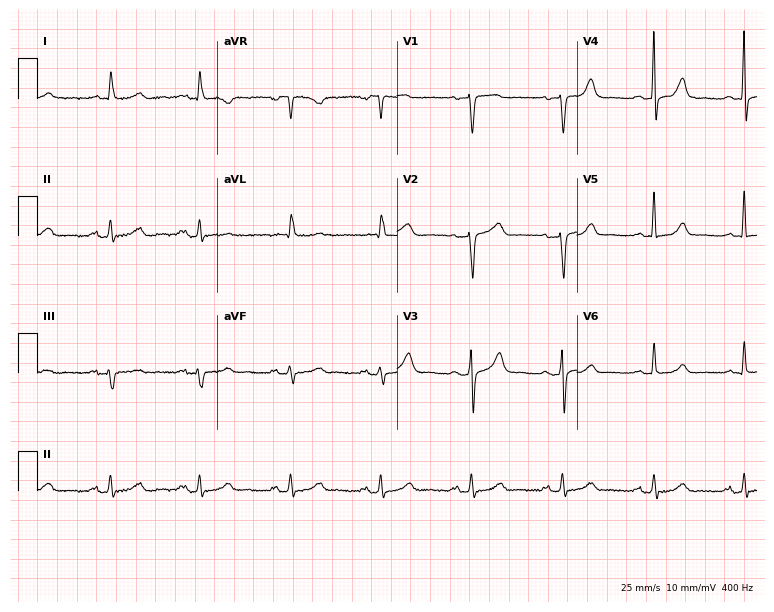
Standard 12-lead ECG recorded from a woman, 81 years old. Read as a normal ECG.